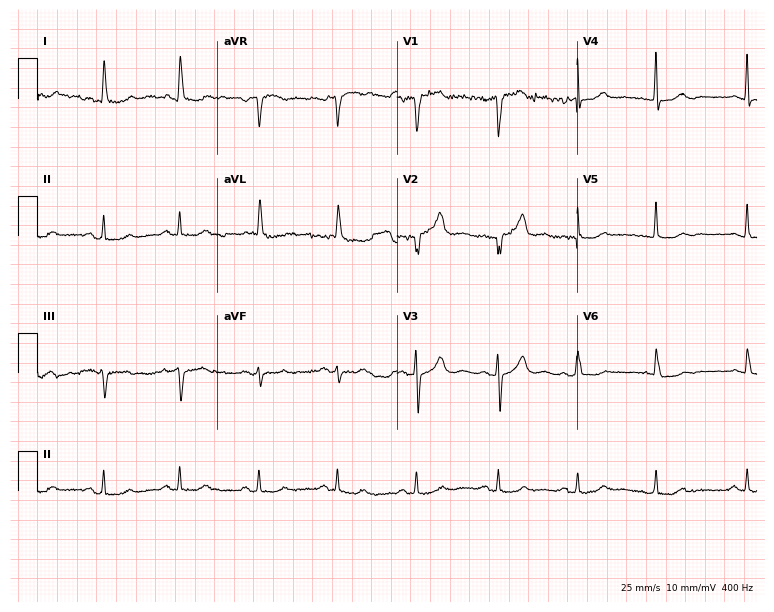
Standard 12-lead ECG recorded from an 81-year-old female (7.3-second recording at 400 Hz). None of these six findings is recorded: first-degree AV block, right bundle branch block, left bundle branch block, sinus bradycardia, atrial fibrillation, sinus tachycardia.